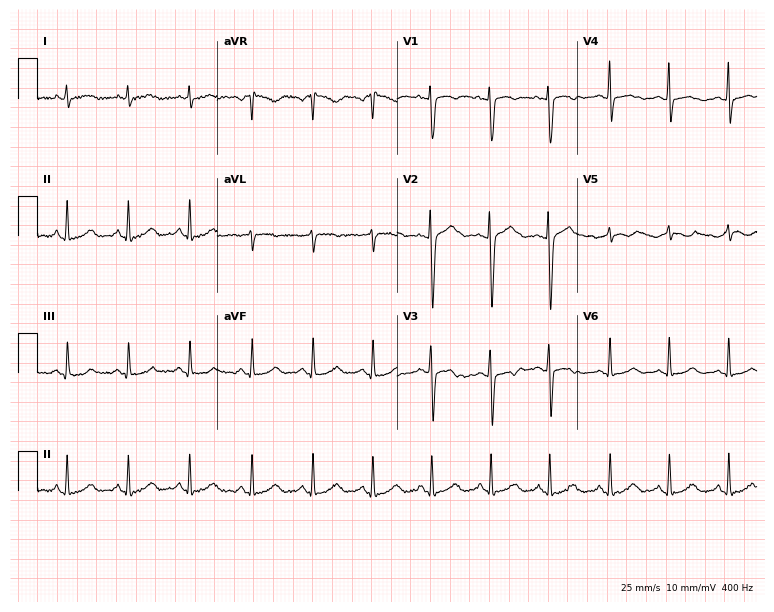
Standard 12-lead ECG recorded from a female, 26 years old (7.3-second recording at 400 Hz). Read as a normal ECG.